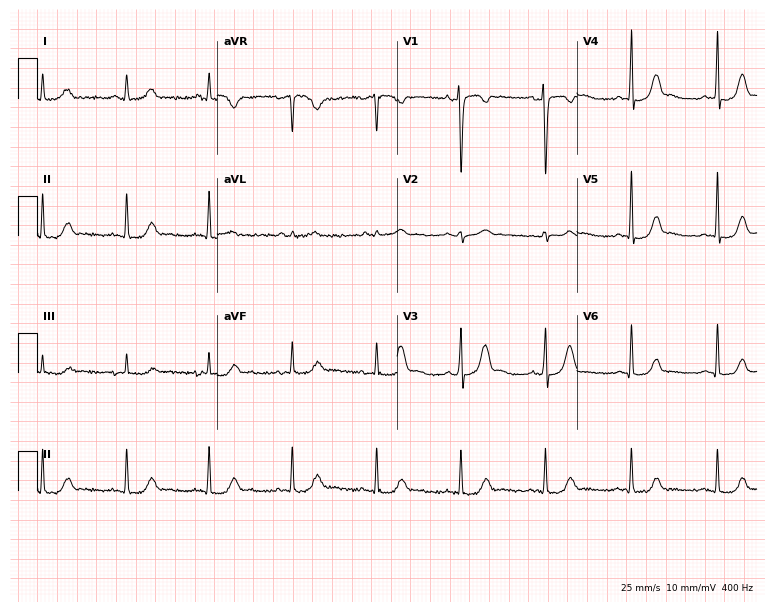
Electrocardiogram, a female, 44 years old. Overall reading on record: normal ECG.